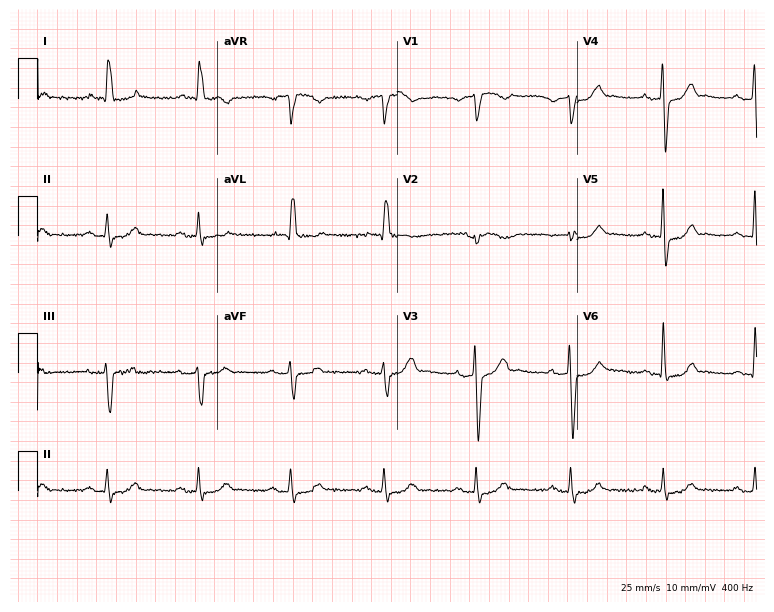
Electrocardiogram (7.3-second recording at 400 Hz), a man, 86 years old. Of the six screened findings (first-degree AV block, right bundle branch block, left bundle branch block, sinus bradycardia, atrial fibrillation, sinus tachycardia), none is recorded.